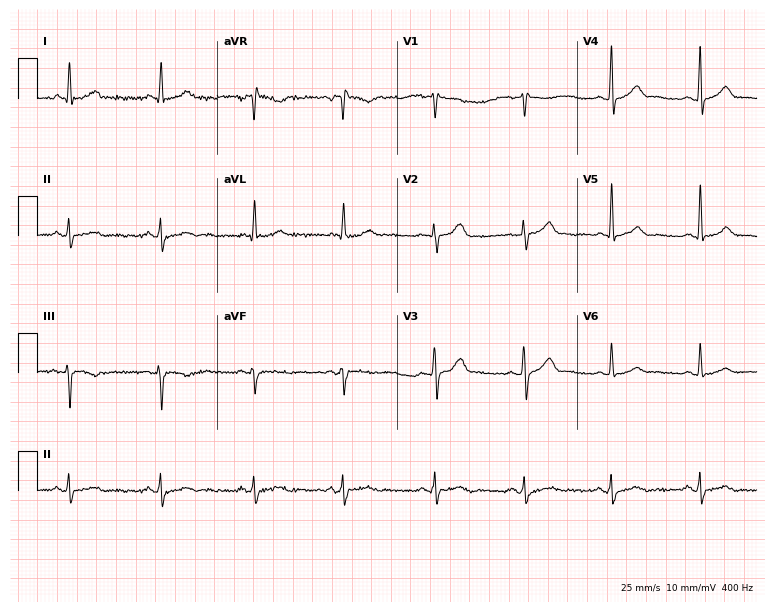
12-lead ECG from a male patient, 52 years old. Labelled as a normal ECG.